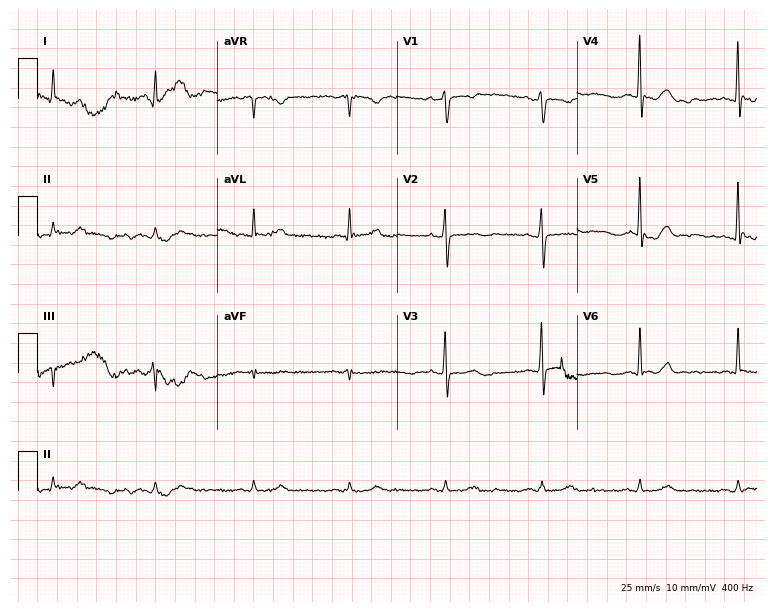
Standard 12-lead ECG recorded from a 75-year-old male patient (7.3-second recording at 400 Hz). Read as a normal ECG.